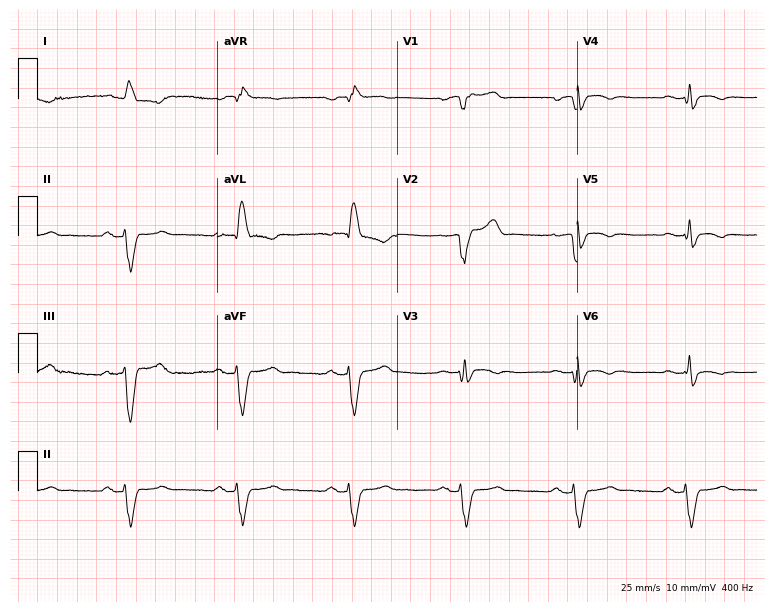
12-lead ECG (7.3-second recording at 400 Hz) from a 76-year-old male. Findings include first-degree AV block, left bundle branch block (LBBB).